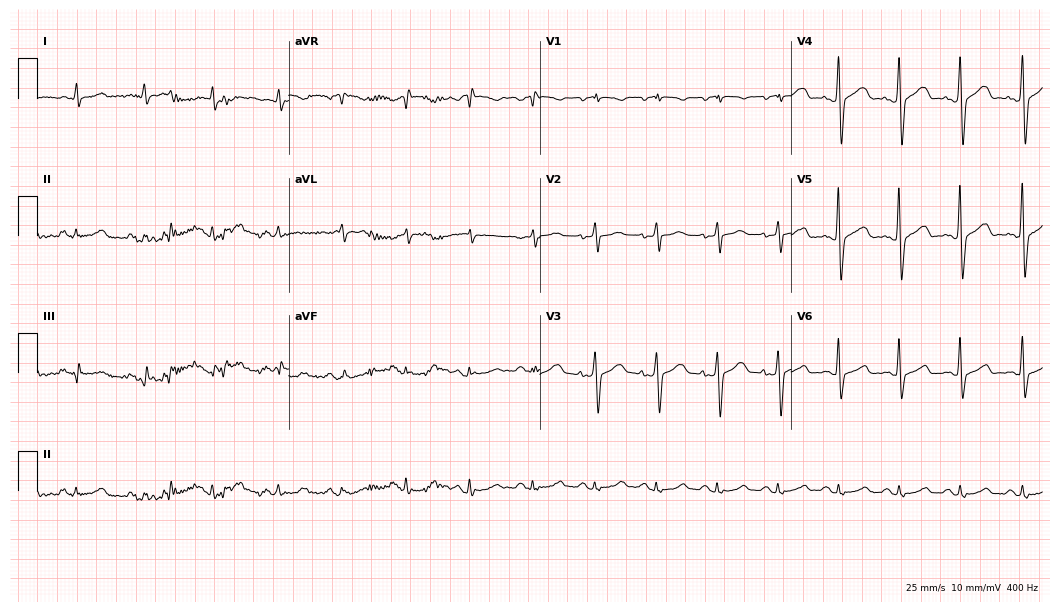
ECG (10.2-second recording at 400 Hz) — a 53-year-old male patient. Labelled as a normal ECG.